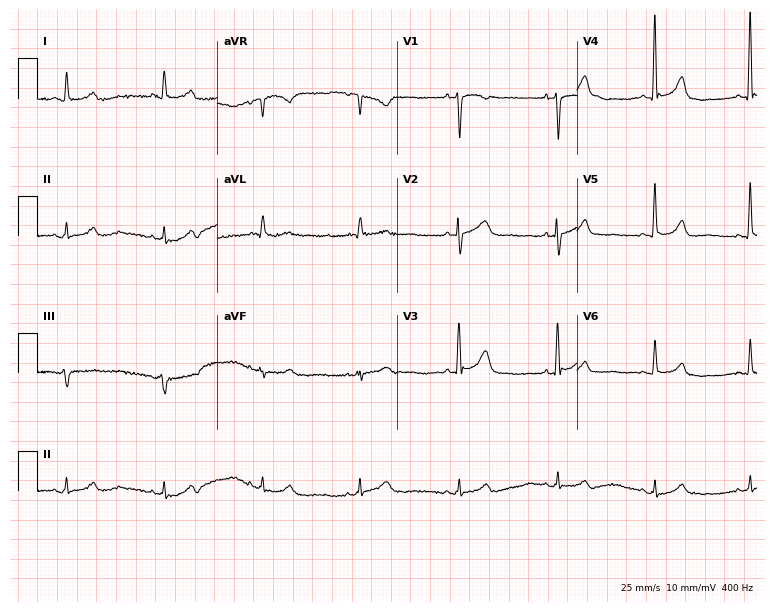
12-lead ECG (7.3-second recording at 400 Hz) from a man, 82 years old. Screened for six findings — first-degree AV block, right bundle branch block (RBBB), left bundle branch block (LBBB), sinus bradycardia, atrial fibrillation (AF), sinus tachycardia — none is recorded. Findings outside these six are not listed.